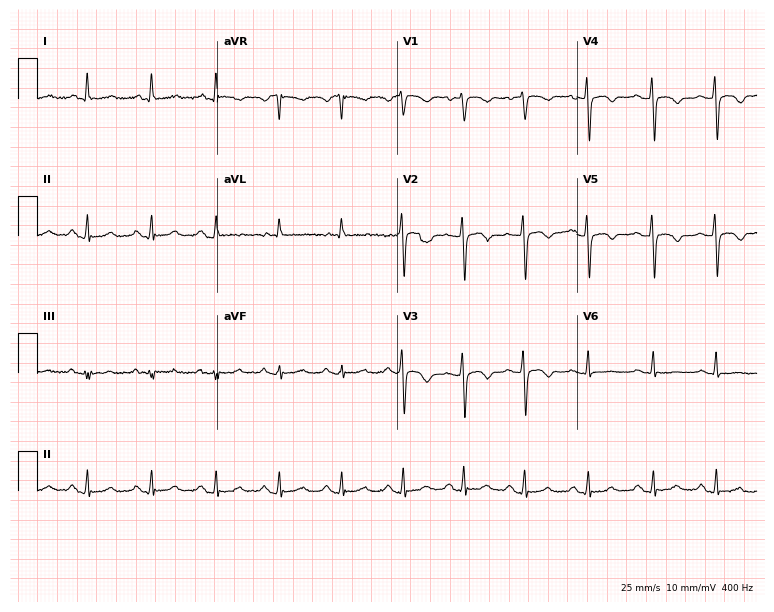
ECG (7.3-second recording at 400 Hz) — a 47-year-old woman. Screened for six findings — first-degree AV block, right bundle branch block, left bundle branch block, sinus bradycardia, atrial fibrillation, sinus tachycardia — none is recorded.